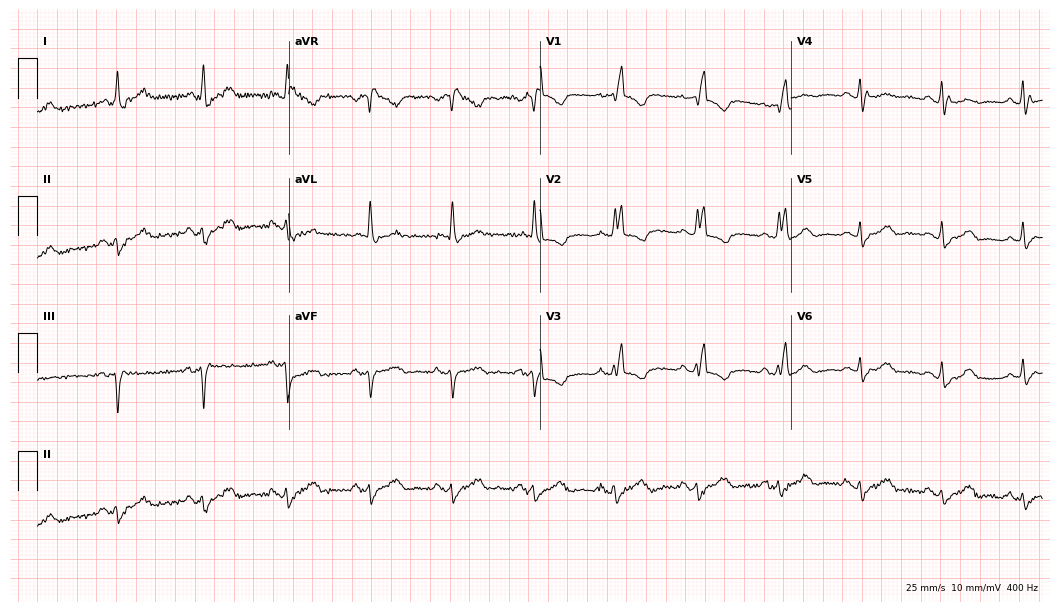
Resting 12-lead electrocardiogram. Patient: a female, 84 years old. None of these six findings is recorded: first-degree AV block, right bundle branch block, left bundle branch block, sinus bradycardia, atrial fibrillation, sinus tachycardia. Only these six findings were labelled.